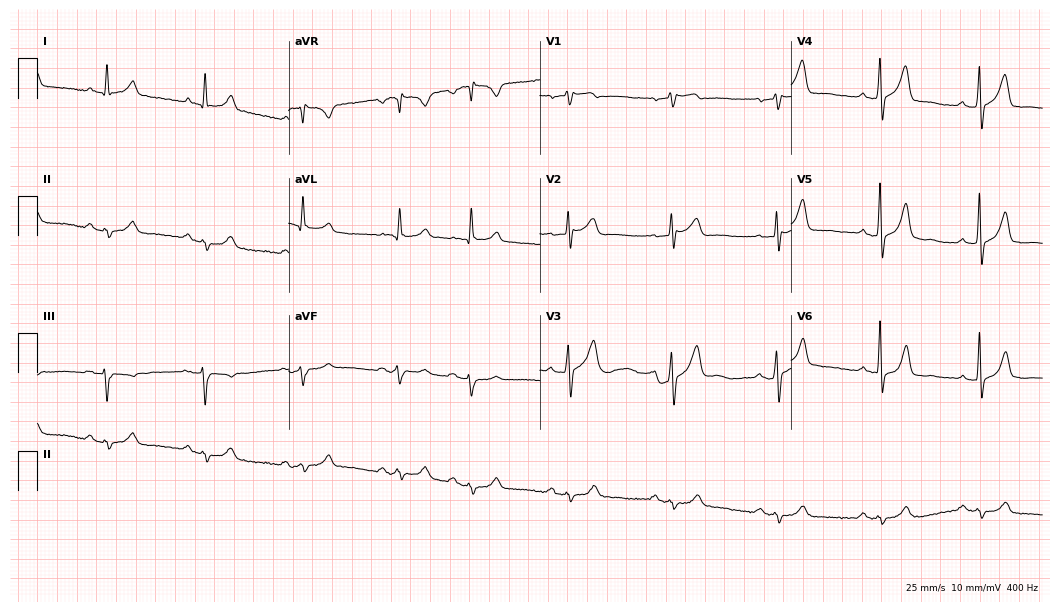
12-lead ECG from a male, 69 years old (10.2-second recording at 400 Hz). No first-degree AV block, right bundle branch block, left bundle branch block, sinus bradycardia, atrial fibrillation or sinus tachycardia recorded for this tracing.